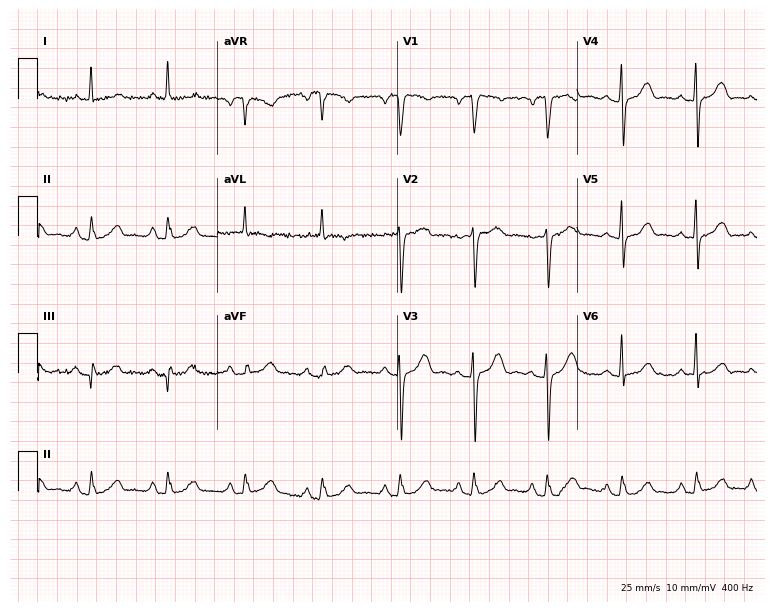
Electrocardiogram (7.3-second recording at 400 Hz), a 46-year-old female. Of the six screened findings (first-degree AV block, right bundle branch block, left bundle branch block, sinus bradycardia, atrial fibrillation, sinus tachycardia), none is recorded. Only these six findings were labelled.